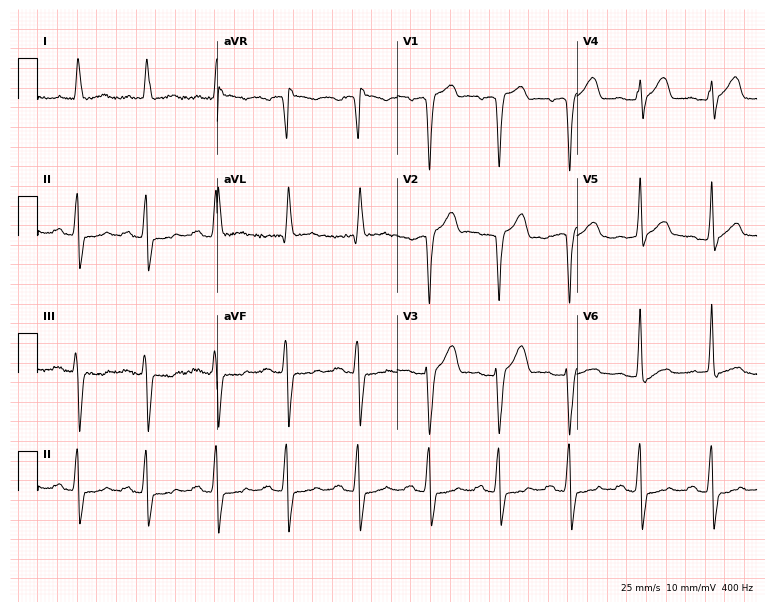
12-lead ECG from a male patient, 74 years old. Screened for six findings — first-degree AV block, right bundle branch block (RBBB), left bundle branch block (LBBB), sinus bradycardia, atrial fibrillation (AF), sinus tachycardia — none is recorded. Only these six findings were labelled.